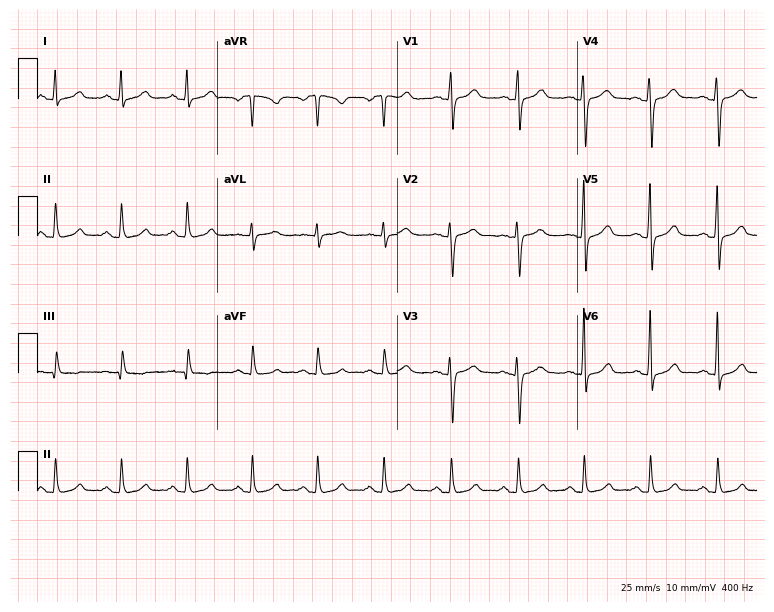
Standard 12-lead ECG recorded from a woman, 39 years old. Read as a normal ECG.